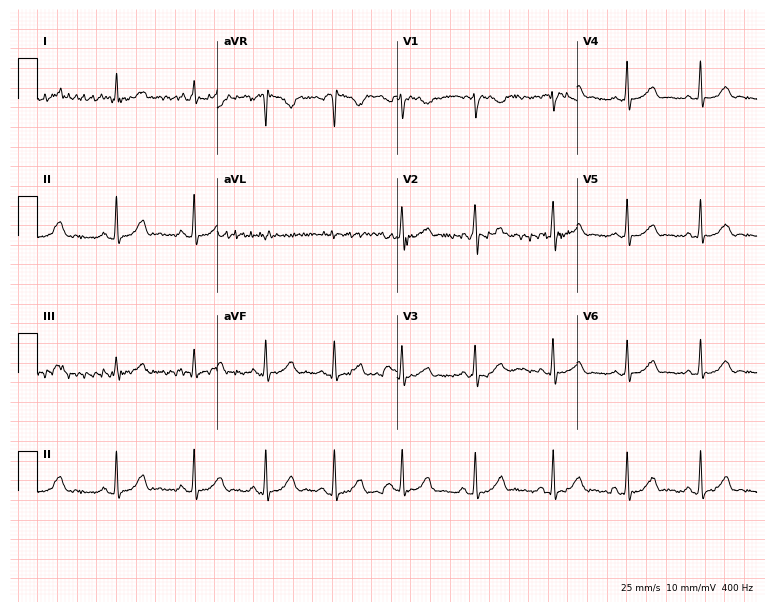
ECG — a 21-year-old female patient. Labelled as a normal ECG.